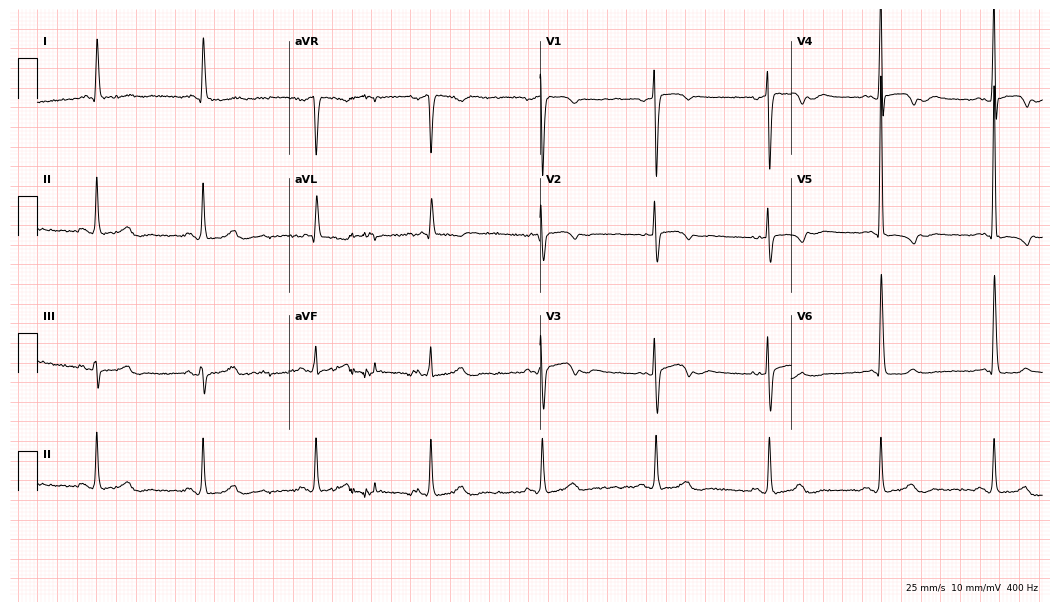
12-lead ECG from an 85-year-old female. No first-degree AV block, right bundle branch block, left bundle branch block, sinus bradycardia, atrial fibrillation or sinus tachycardia recorded for this tracing. Other findings, if any, are not listed.